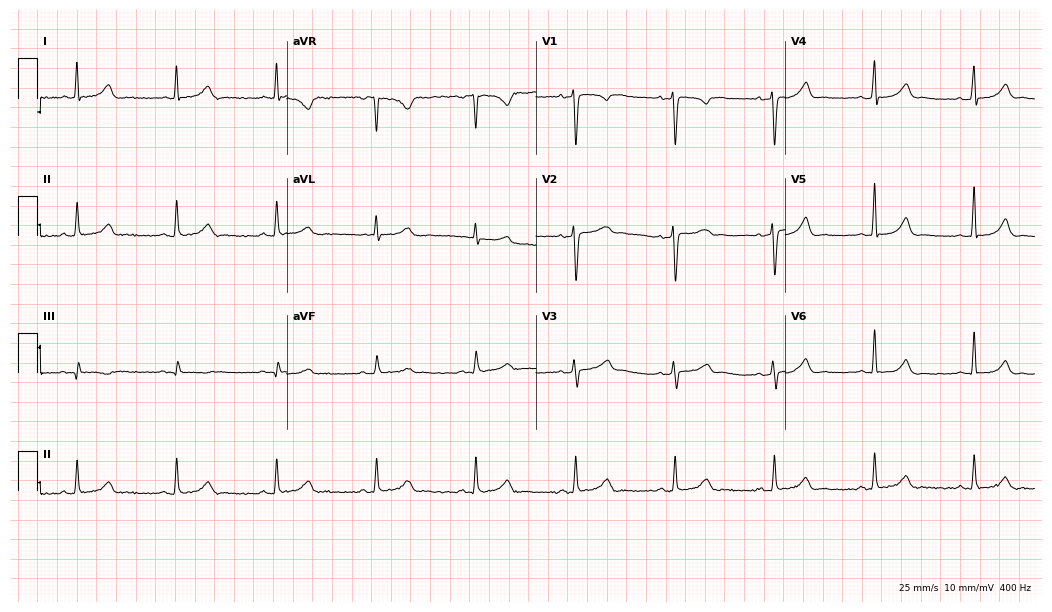
ECG — a 48-year-old woman. Screened for six findings — first-degree AV block, right bundle branch block (RBBB), left bundle branch block (LBBB), sinus bradycardia, atrial fibrillation (AF), sinus tachycardia — none is recorded. Only these six findings were labelled.